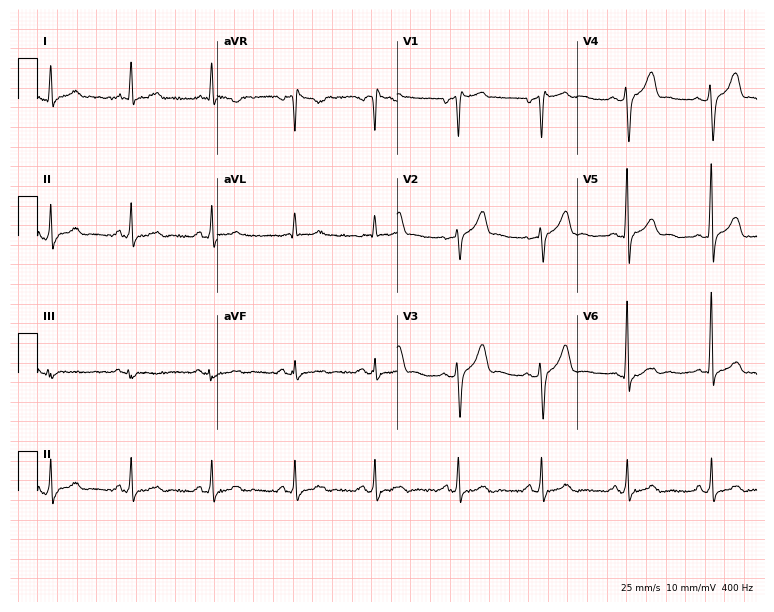
ECG — a 69-year-old male patient. Screened for six findings — first-degree AV block, right bundle branch block, left bundle branch block, sinus bradycardia, atrial fibrillation, sinus tachycardia — none is recorded. Only these six findings were labelled.